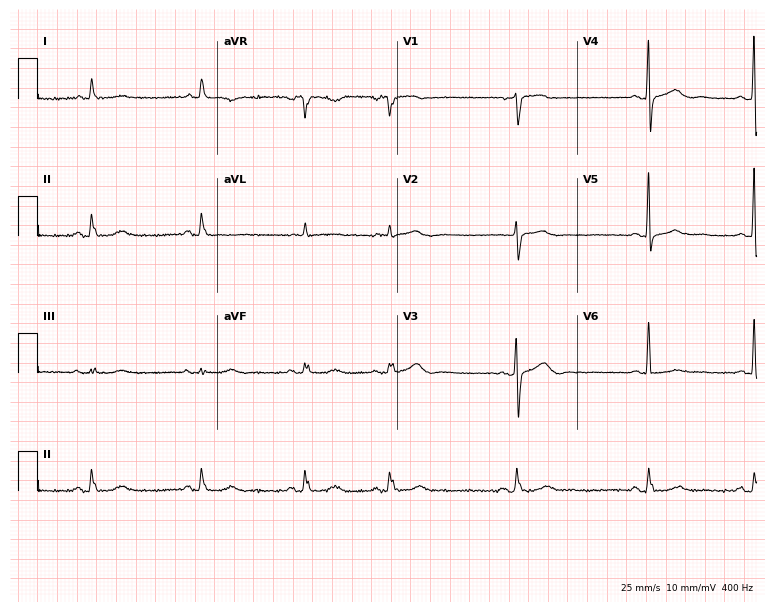
12-lead ECG from a female patient, 75 years old (7.3-second recording at 400 Hz). Recorded interpretation: within normal limits.